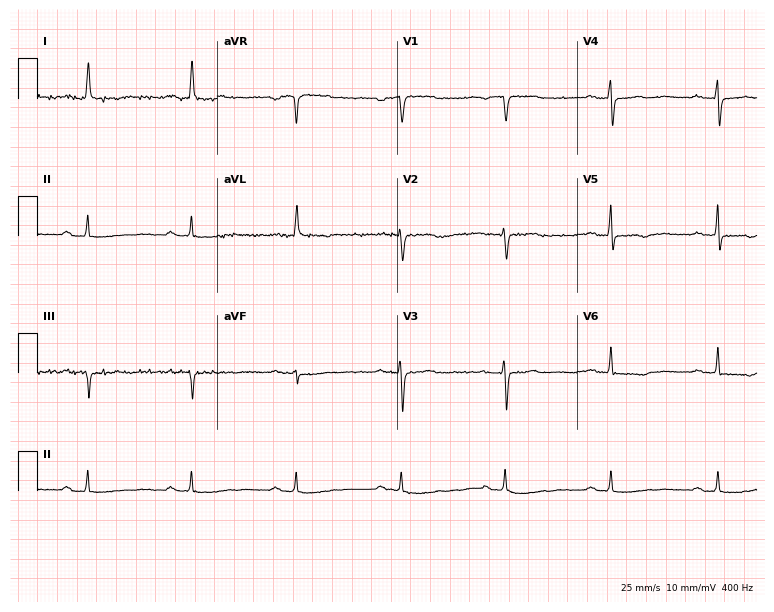
Resting 12-lead electrocardiogram. Patient: a woman, 70 years old. None of these six findings is recorded: first-degree AV block, right bundle branch block (RBBB), left bundle branch block (LBBB), sinus bradycardia, atrial fibrillation (AF), sinus tachycardia.